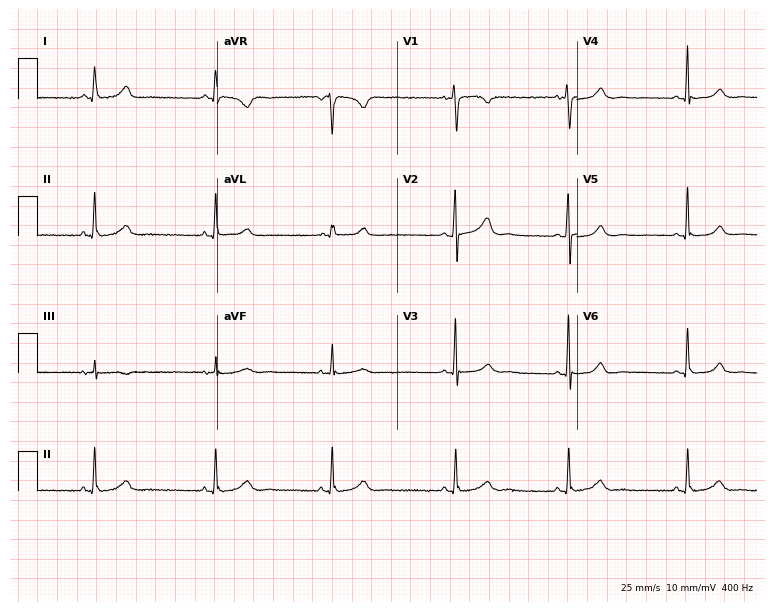
12-lead ECG (7.3-second recording at 400 Hz) from a woman, 36 years old. Labelled as a normal ECG.